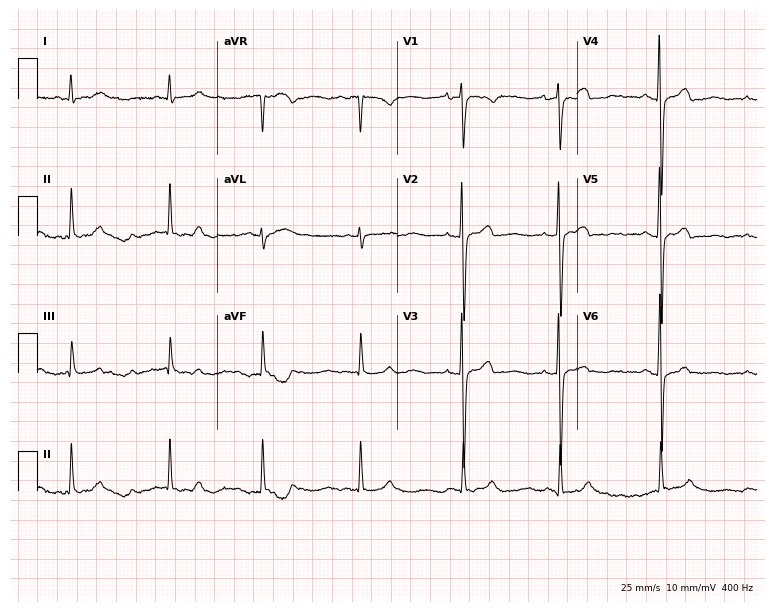
Resting 12-lead electrocardiogram. Patient: an 18-year-old woman. None of these six findings is recorded: first-degree AV block, right bundle branch block, left bundle branch block, sinus bradycardia, atrial fibrillation, sinus tachycardia.